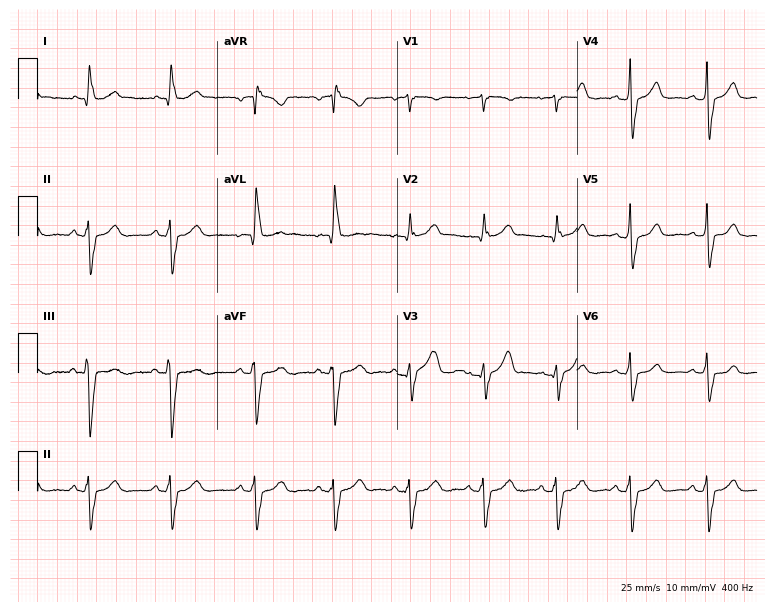
Electrocardiogram (7.3-second recording at 400 Hz), a female patient, 61 years old. Of the six screened findings (first-degree AV block, right bundle branch block, left bundle branch block, sinus bradycardia, atrial fibrillation, sinus tachycardia), none is recorded. Other findings, if any, are not listed.